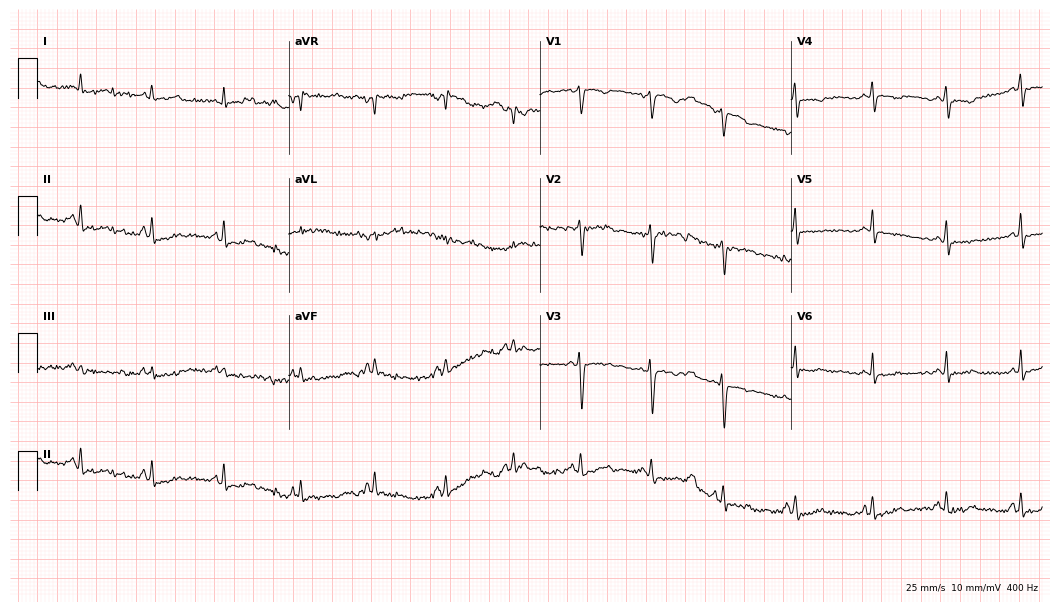
Standard 12-lead ECG recorded from a female patient, 25 years old. None of these six findings is recorded: first-degree AV block, right bundle branch block, left bundle branch block, sinus bradycardia, atrial fibrillation, sinus tachycardia. Other findings, if any, are not listed.